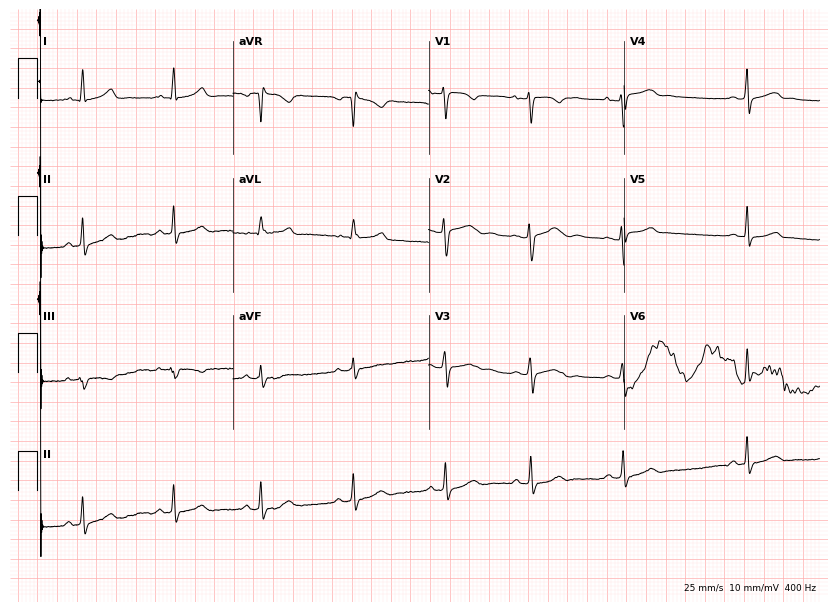
Standard 12-lead ECG recorded from a 17-year-old female (8-second recording at 400 Hz). Read as a normal ECG.